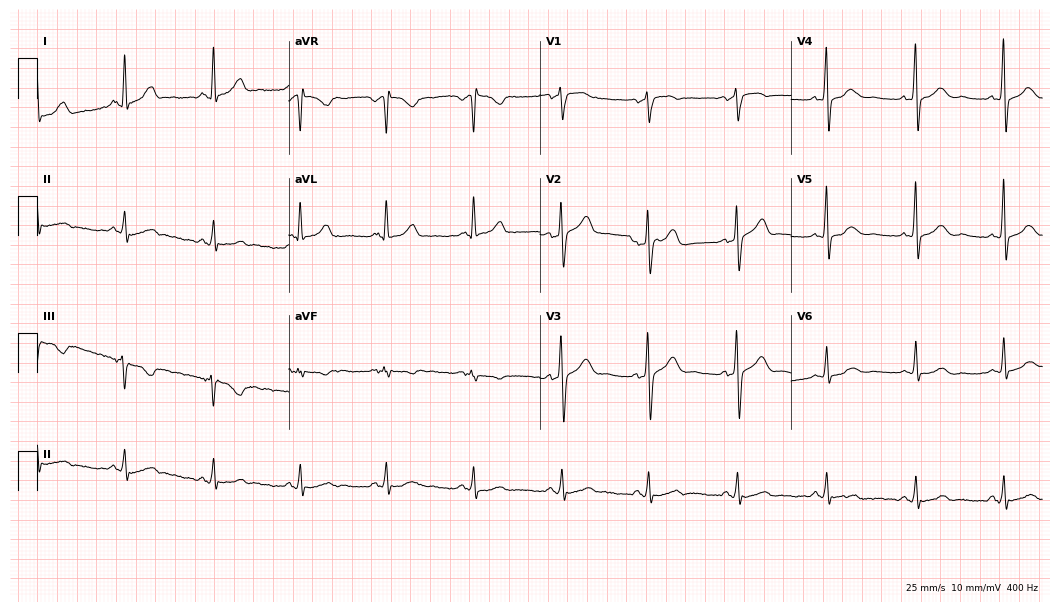
12-lead ECG from a 46-year-old female. Recorded interpretation: within normal limits.